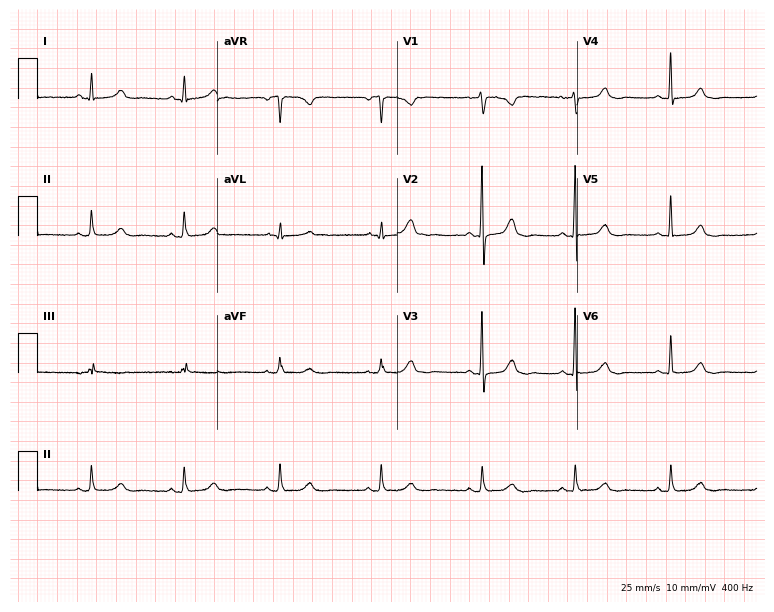
Resting 12-lead electrocardiogram. Patient: a 51-year-old female. None of these six findings is recorded: first-degree AV block, right bundle branch block (RBBB), left bundle branch block (LBBB), sinus bradycardia, atrial fibrillation (AF), sinus tachycardia.